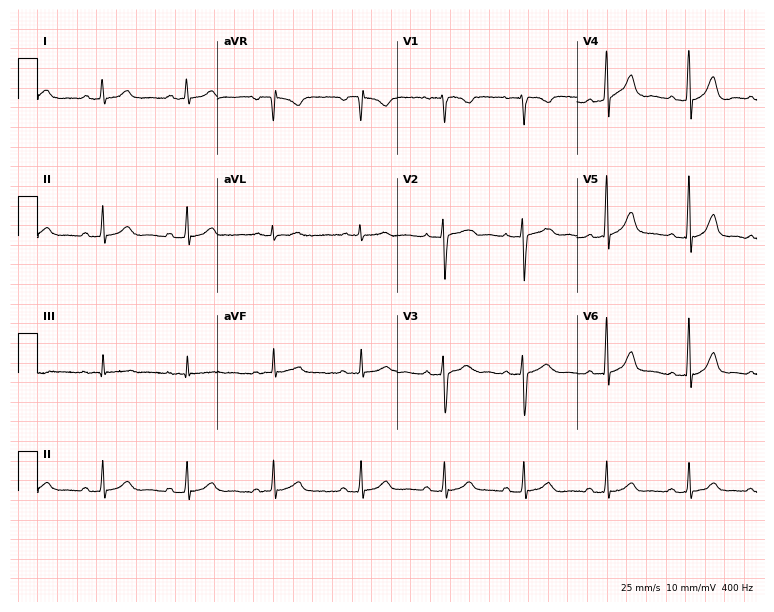
Standard 12-lead ECG recorded from a female patient, 26 years old (7.3-second recording at 400 Hz). Read as a normal ECG.